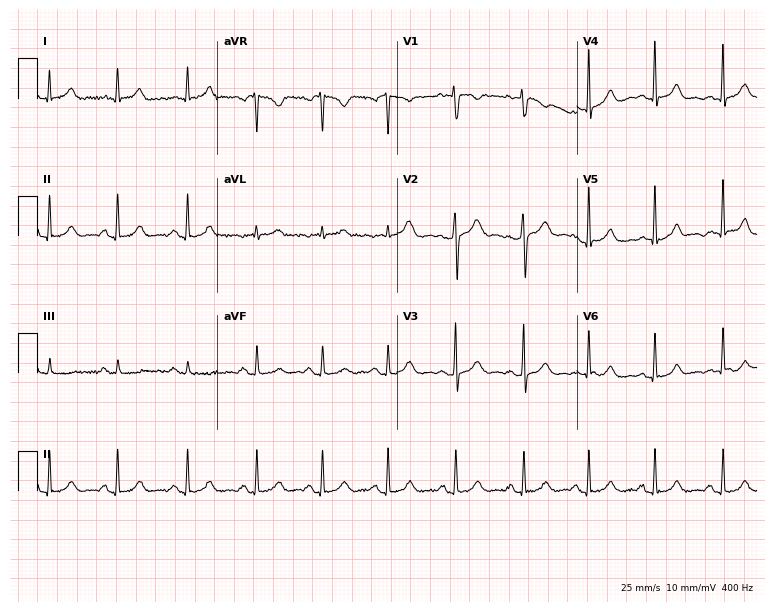
ECG (7.3-second recording at 400 Hz) — a 37-year-old female patient. Labelled as a normal ECG.